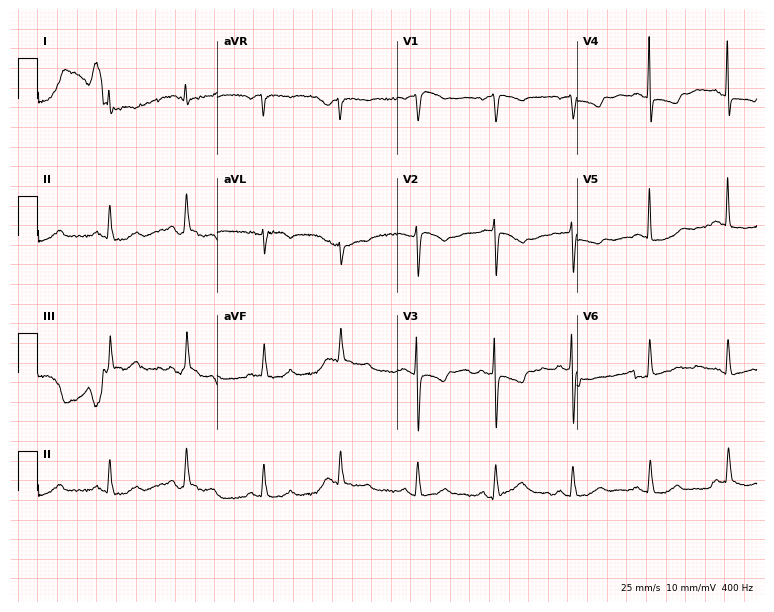
Standard 12-lead ECG recorded from a female, 85 years old (7.3-second recording at 400 Hz). None of these six findings is recorded: first-degree AV block, right bundle branch block (RBBB), left bundle branch block (LBBB), sinus bradycardia, atrial fibrillation (AF), sinus tachycardia.